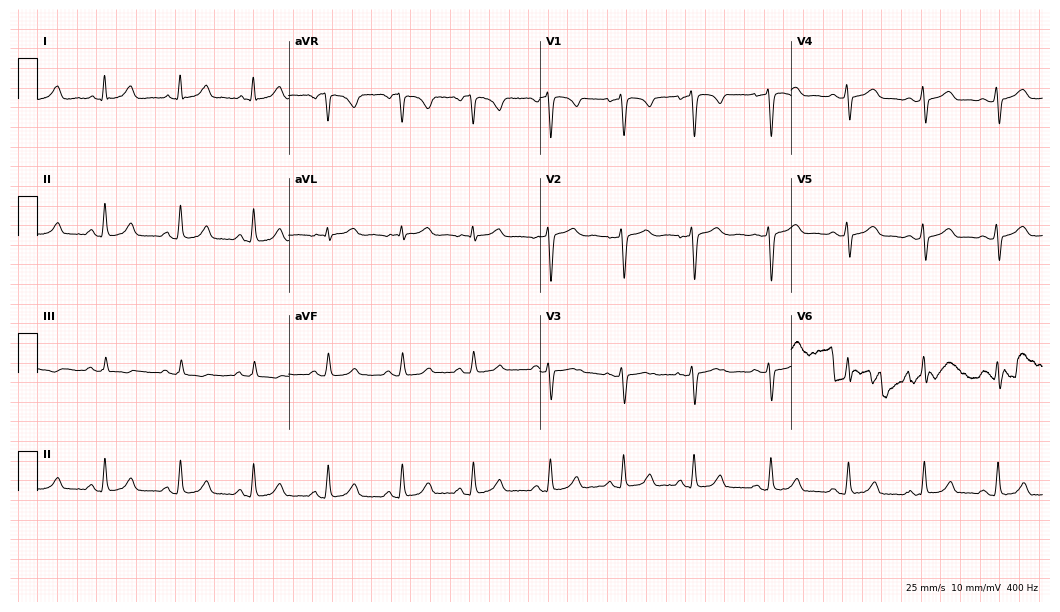
Standard 12-lead ECG recorded from a 43-year-old female (10.2-second recording at 400 Hz). Read as a normal ECG.